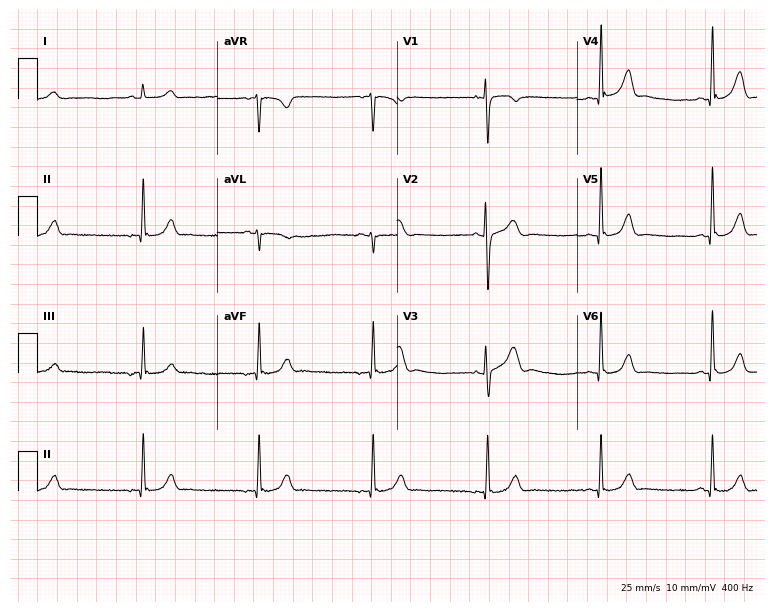
Standard 12-lead ECG recorded from a 43-year-old female. None of these six findings is recorded: first-degree AV block, right bundle branch block, left bundle branch block, sinus bradycardia, atrial fibrillation, sinus tachycardia.